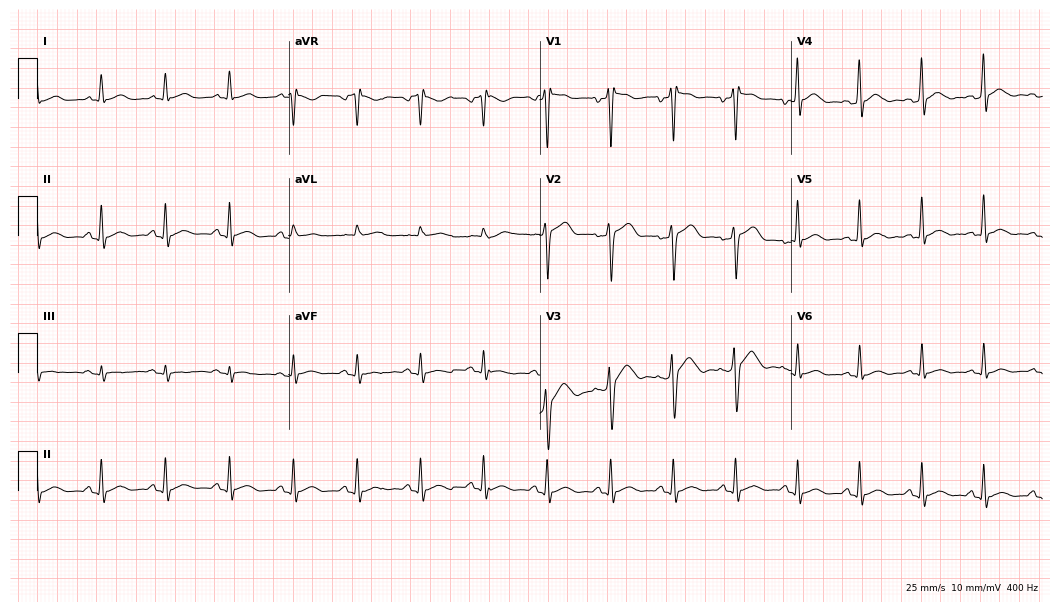
12-lead ECG from a 26-year-old man (10.2-second recording at 400 Hz). Recorded interpretation: within normal limits.